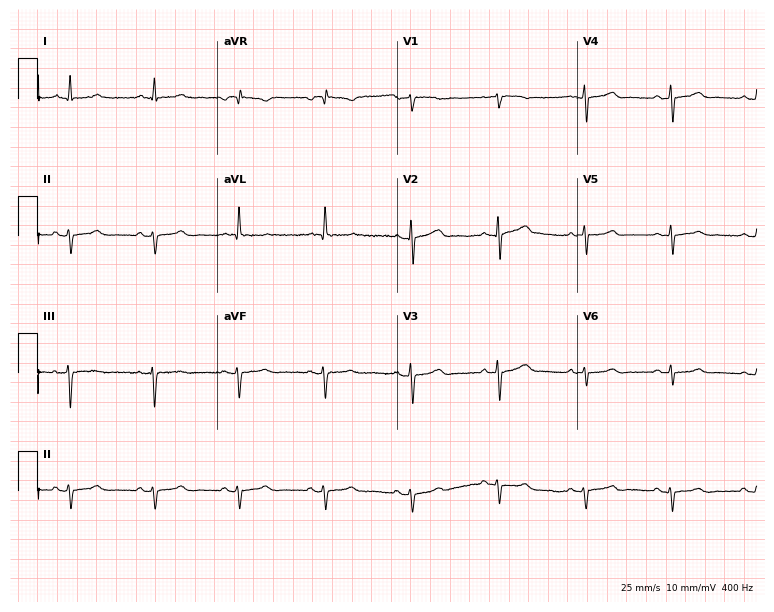
Electrocardiogram (7.3-second recording at 400 Hz), a female patient, 46 years old. Of the six screened findings (first-degree AV block, right bundle branch block, left bundle branch block, sinus bradycardia, atrial fibrillation, sinus tachycardia), none is recorded.